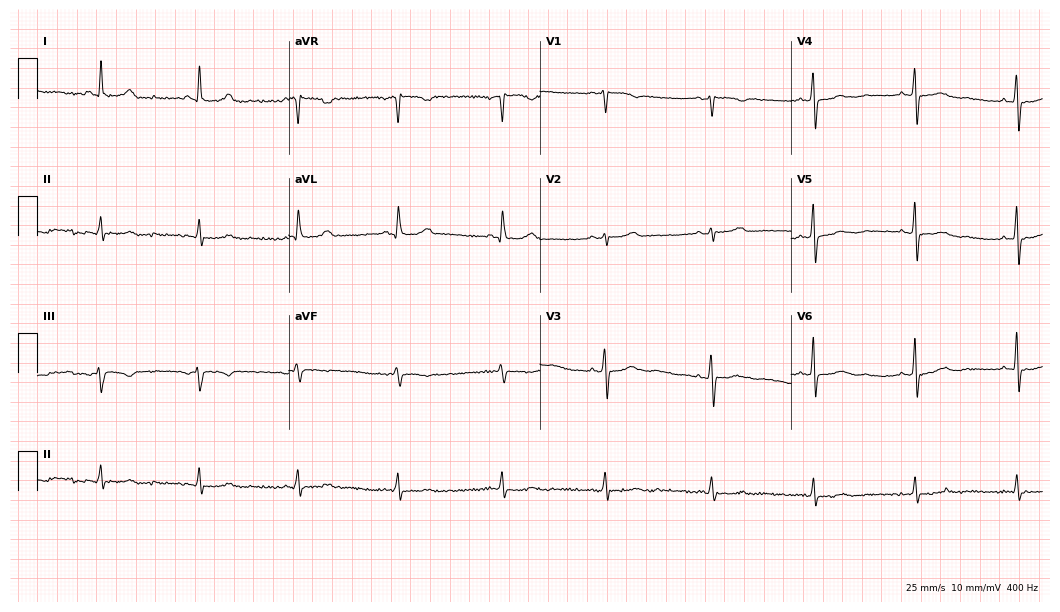
ECG (10.2-second recording at 400 Hz) — a woman, 62 years old. Labelled as a normal ECG.